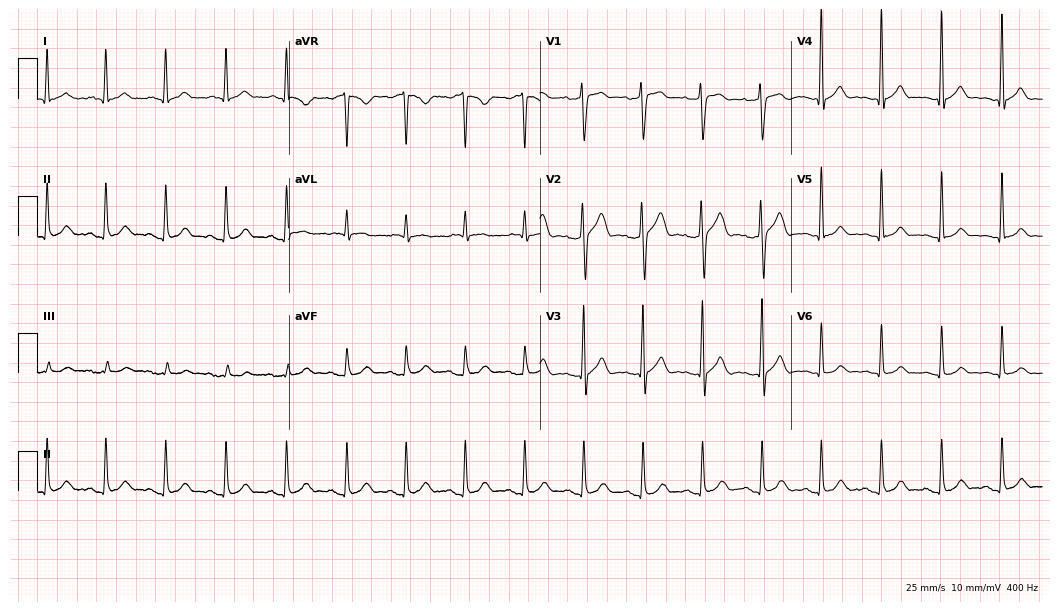
Standard 12-lead ECG recorded from a male patient, 64 years old (10.2-second recording at 400 Hz). Read as a normal ECG.